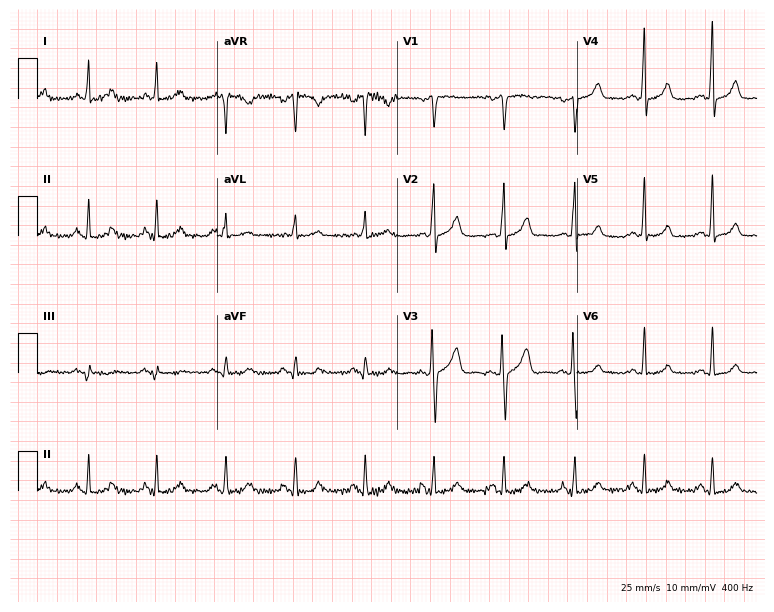
12-lead ECG from a female patient, 36 years old (7.3-second recording at 400 Hz). No first-degree AV block, right bundle branch block, left bundle branch block, sinus bradycardia, atrial fibrillation or sinus tachycardia recorded for this tracing. Only these six findings were labelled.